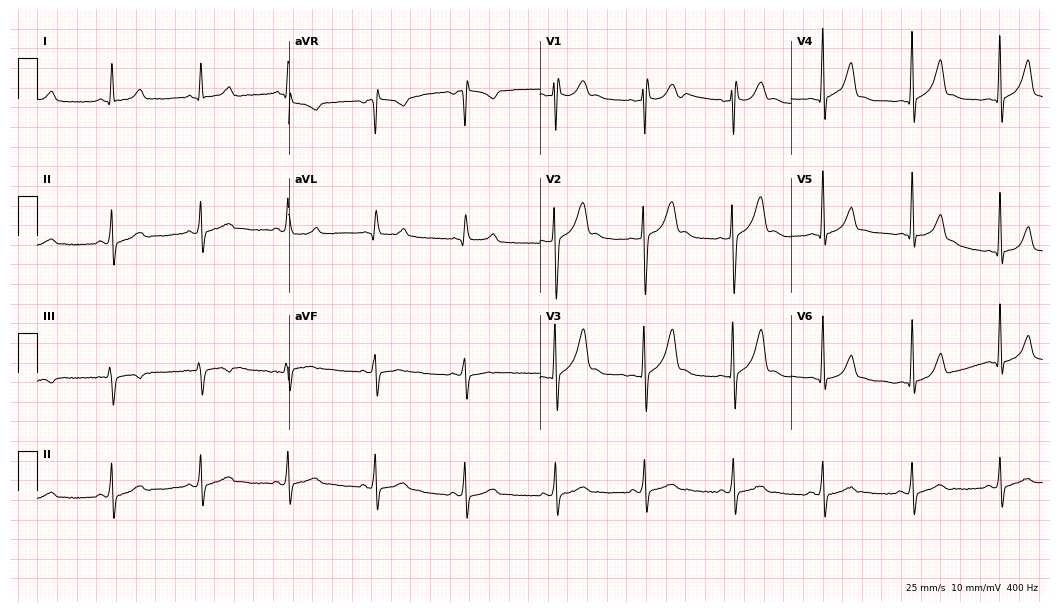
12-lead ECG from a man, 21 years old (10.2-second recording at 400 Hz). No first-degree AV block, right bundle branch block, left bundle branch block, sinus bradycardia, atrial fibrillation or sinus tachycardia recorded for this tracing.